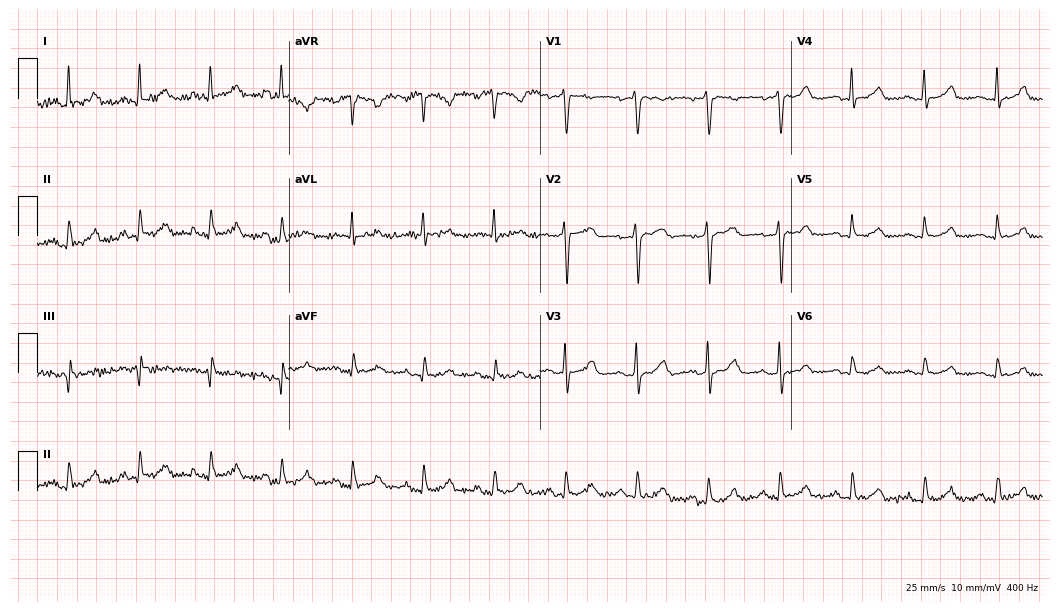
ECG — a 77-year-old female patient. Screened for six findings — first-degree AV block, right bundle branch block (RBBB), left bundle branch block (LBBB), sinus bradycardia, atrial fibrillation (AF), sinus tachycardia — none is recorded.